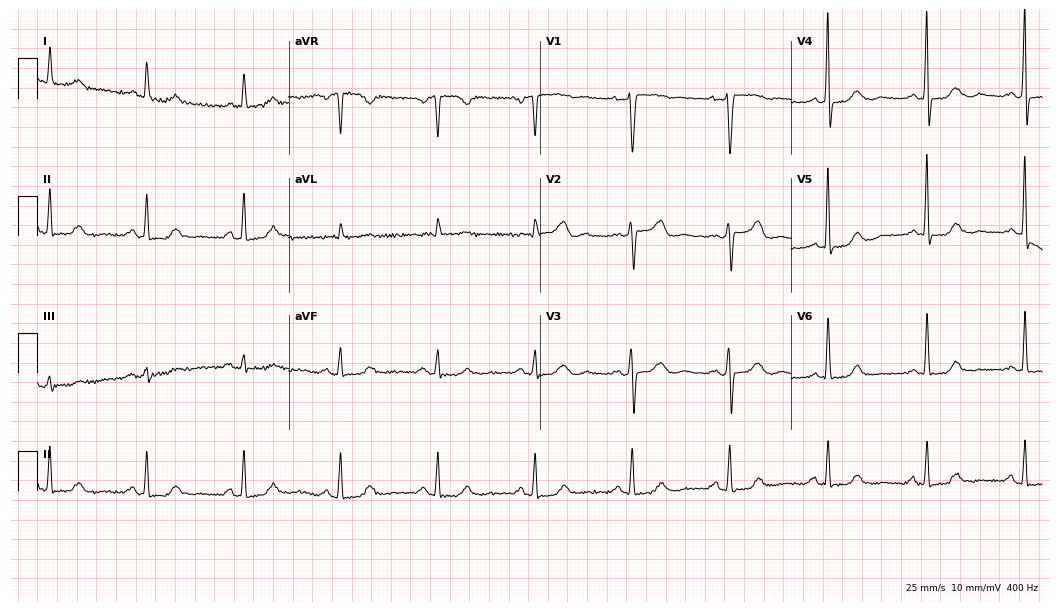
Resting 12-lead electrocardiogram. Patient: a female, 71 years old. Read as a normal ECG.